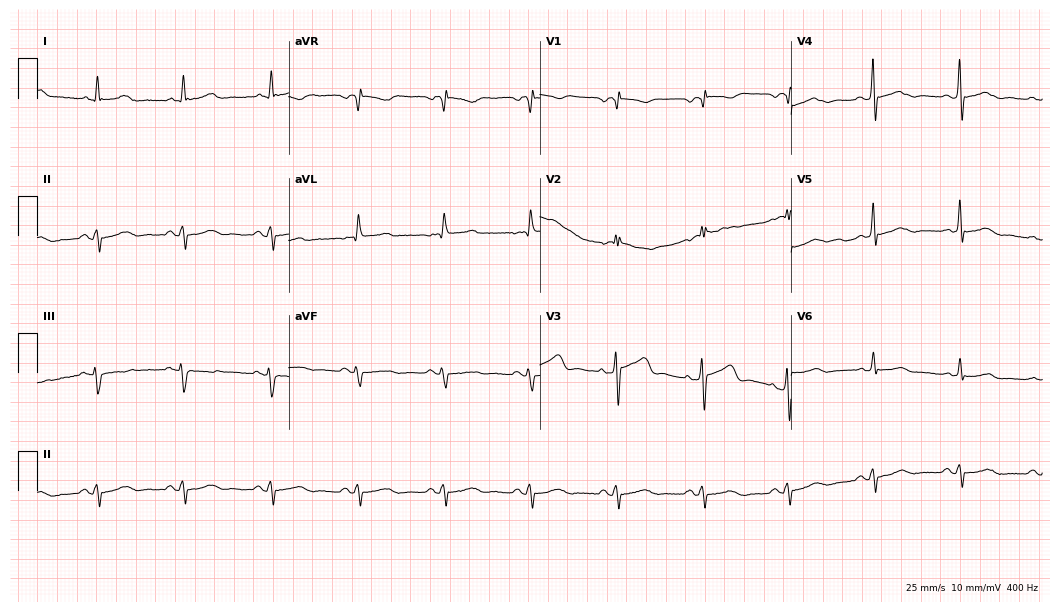
ECG — a 67-year-old male. Screened for six findings — first-degree AV block, right bundle branch block, left bundle branch block, sinus bradycardia, atrial fibrillation, sinus tachycardia — none is recorded. Only these six findings were labelled.